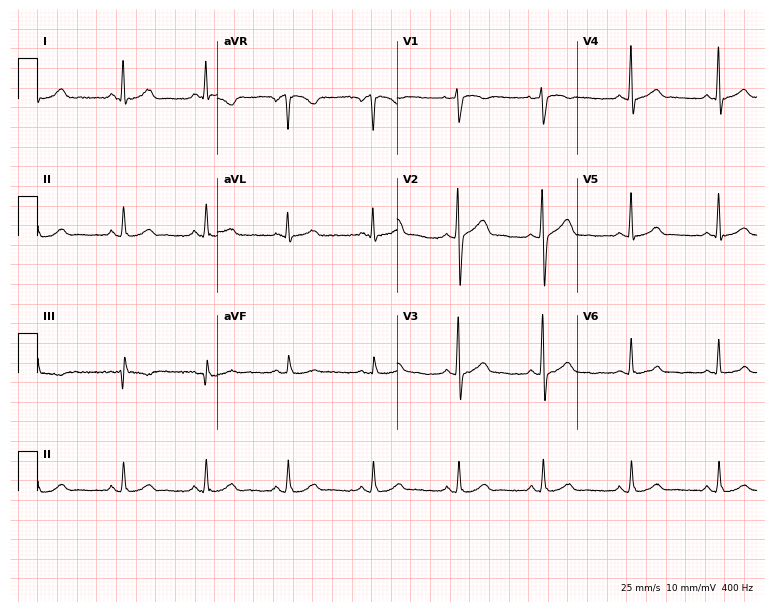
12-lead ECG from a woman, 31 years old. Recorded interpretation: within normal limits.